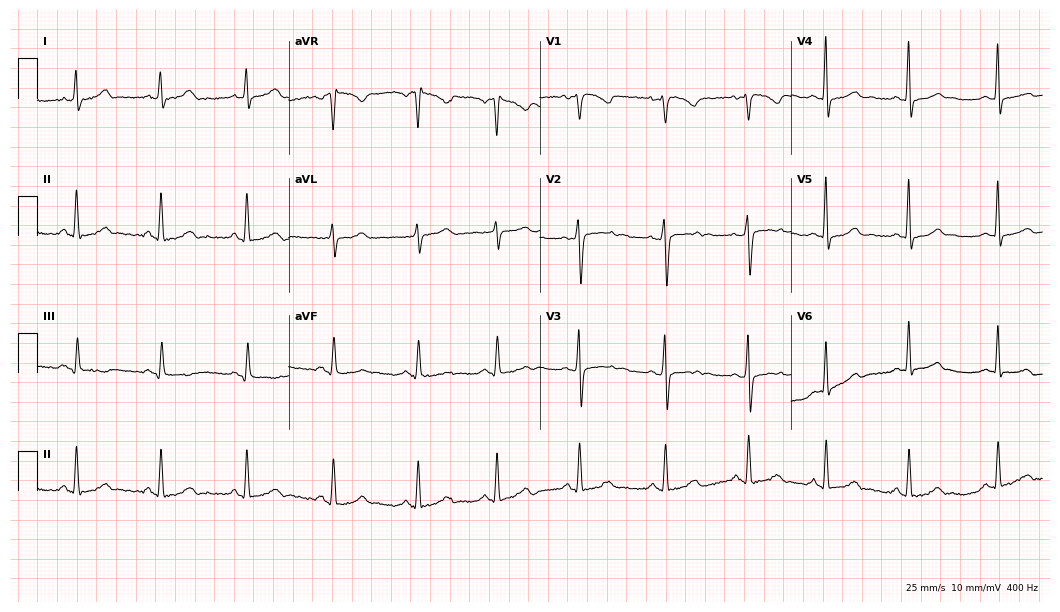
12-lead ECG from a 26-year-old female patient (10.2-second recording at 400 Hz). No first-degree AV block, right bundle branch block, left bundle branch block, sinus bradycardia, atrial fibrillation or sinus tachycardia recorded for this tracing.